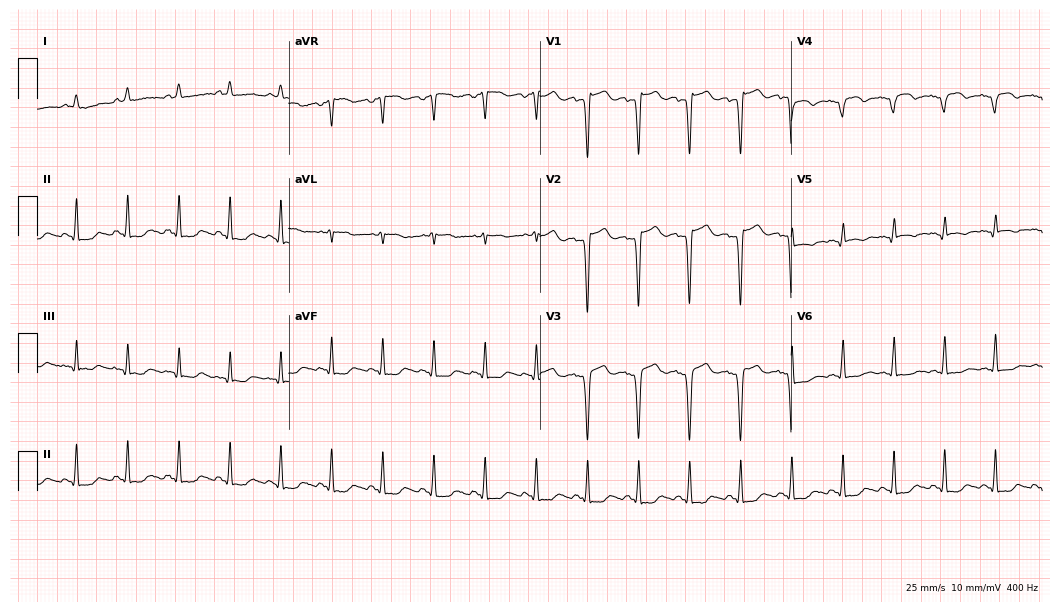
12-lead ECG from a 68-year-old female. Shows sinus tachycardia (a sinus rate of 100 beats per minute or more).